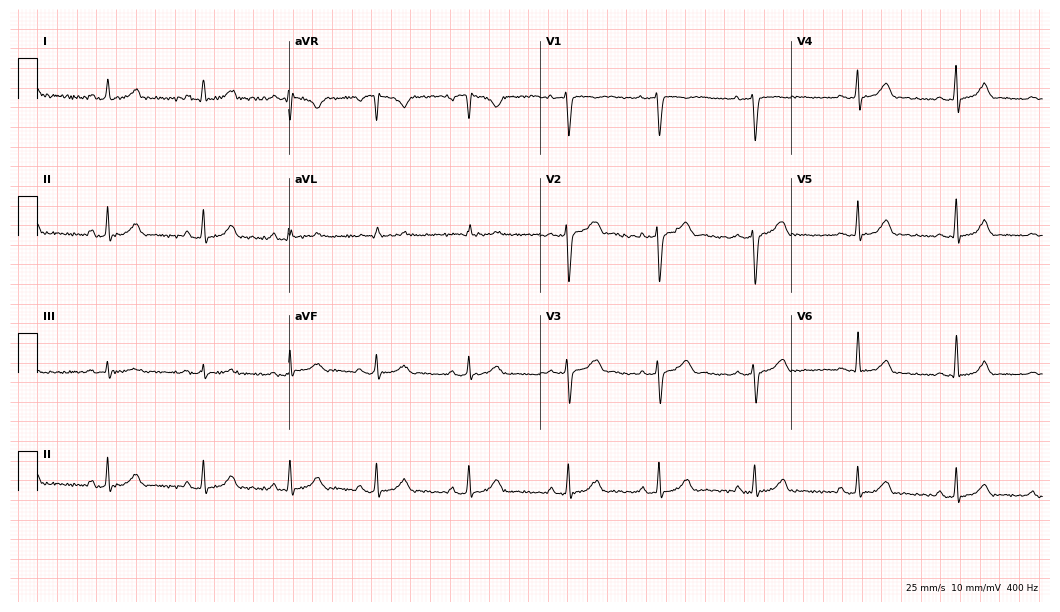
Electrocardiogram, a 25-year-old female. Overall reading on record: normal ECG.